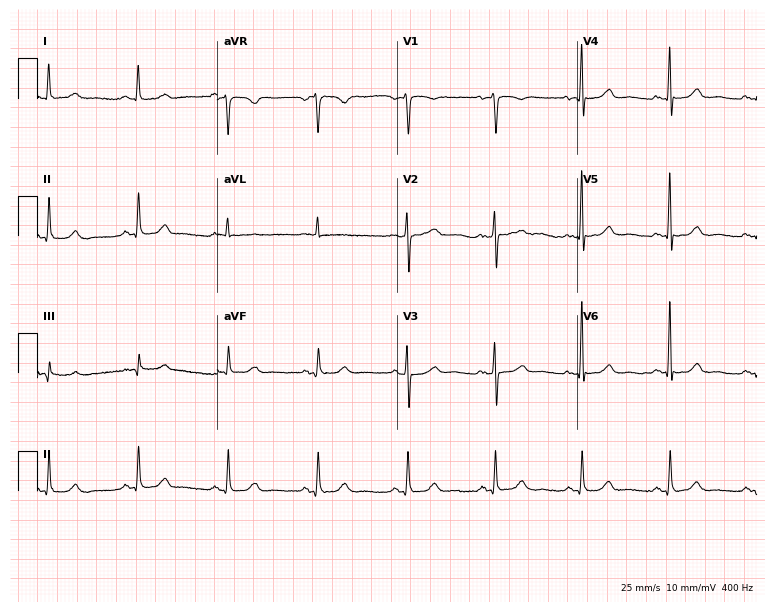
ECG — a 63-year-old female. Screened for six findings — first-degree AV block, right bundle branch block (RBBB), left bundle branch block (LBBB), sinus bradycardia, atrial fibrillation (AF), sinus tachycardia — none is recorded. Findings outside these six are not listed.